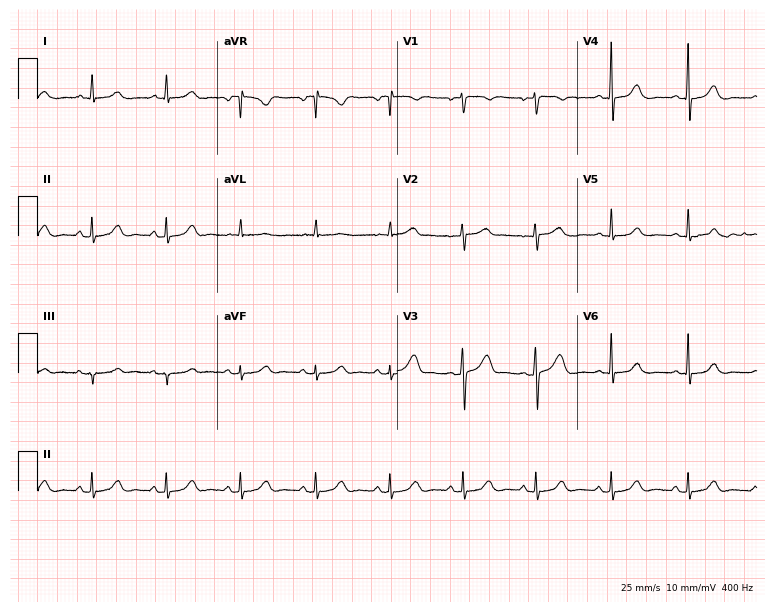
Standard 12-lead ECG recorded from a 46-year-old female patient. Read as a normal ECG.